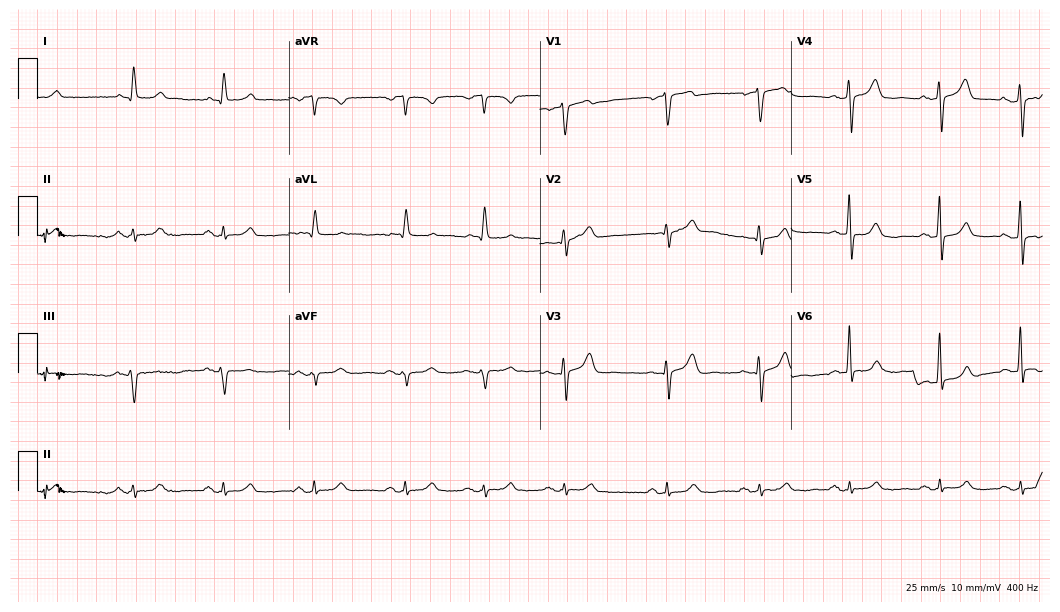
ECG (10.2-second recording at 400 Hz) — an 85-year-old male. Labelled as a normal ECG.